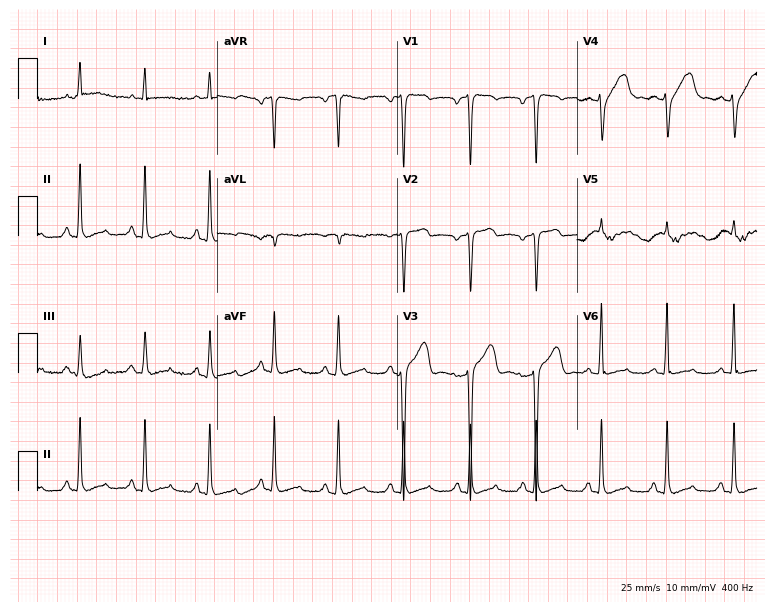
Standard 12-lead ECG recorded from a 37-year-old man (7.3-second recording at 400 Hz). None of these six findings is recorded: first-degree AV block, right bundle branch block, left bundle branch block, sinus bradycardia, atrial fibrillation, sinus tachycardia. Other findings, if any, are not listed.